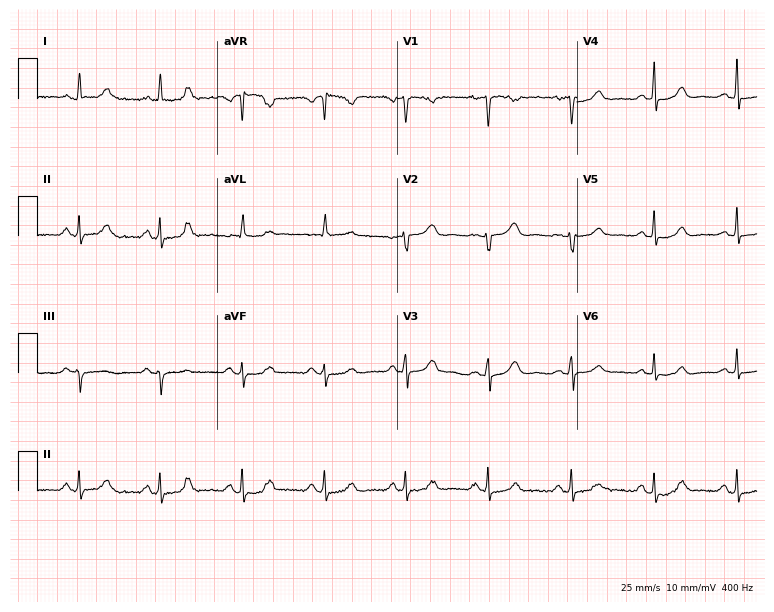
ECG (7.3-second recording at 400 Hz) — a woman, 44 years old. Labelled as a normal ECG.